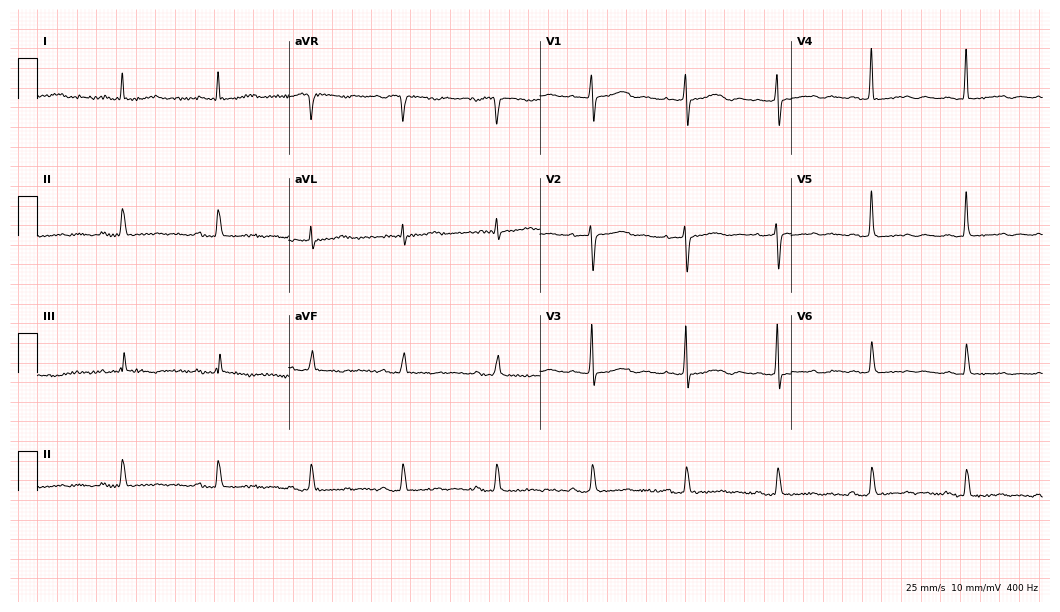
ECG (10.2-second recording at 400 Hz) — a 78-year-old female patient. Screened for six findings — first-degree AV block, right bundle branch block (RBBB), left bundle branch block (LBBB), sinus bradycardia, atrial fibrillation (AF), sinus tachycardia — none is recorded.